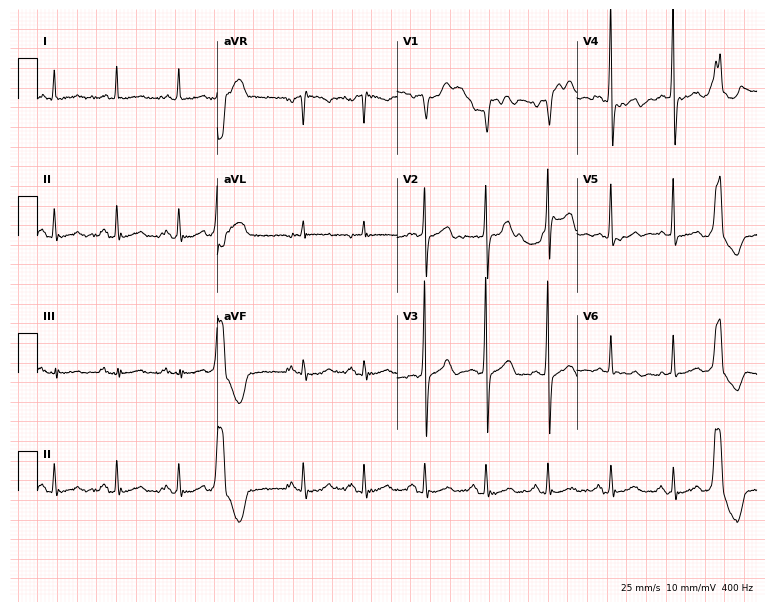
Resting 12-lead electrocardiogram (7.3-second recording at 400 Hz). Patient: a 69-year-old man. Read as a normal ECG.